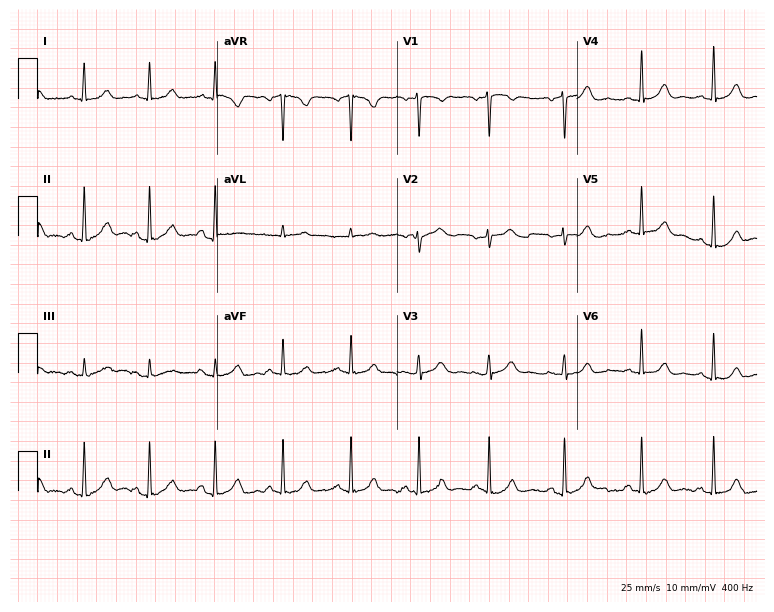
ECG — a 53-year-old female. Labelled as a normal ECG.